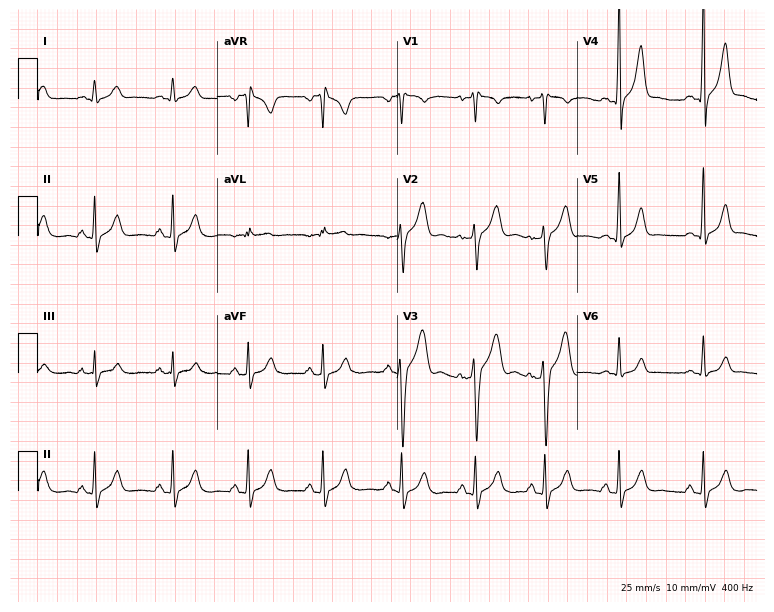
12-lead ECG from a 23-year-old male patient. Screened for six findings — first-degree AV block, right bundle branch block, left bundle branch block, sinus bradycardia, atrial fibrillation, sinus tachycardia — none is recorded.